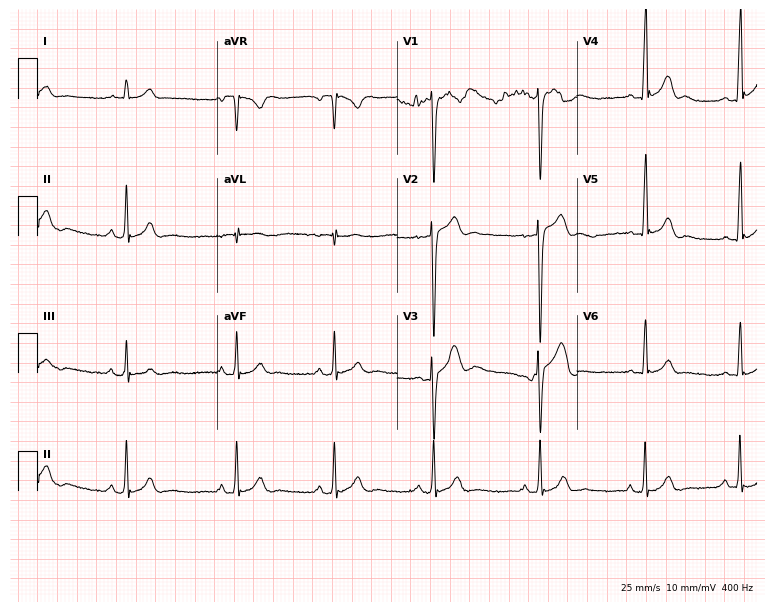
ECG (7.3-second recording at 400 Hz) — a male patient, 20 years old. Screened for six findings — first-degree AV block, right bundle branch block (RBBB), left bundle branch block (LBBB), sinus bradycardia, atrial fibrillation (AF), sinus tachycardia — none is recorded. Findings outside these six are not listed.